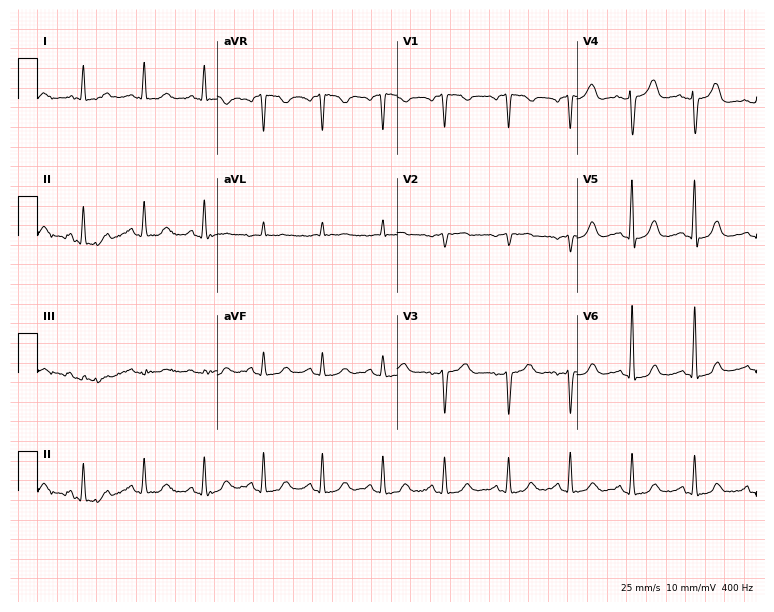
Standard 12-lead ECG recorded from a woman, 76 years old (7.3-second recording at 400 Hz). None of these six findings is recorded: first-degree AV block, right bundle branch block, left bundle branch block, sinus bradycardia, atrial fibrillation, sinus tachycardia. Findings outside these six are not listed.